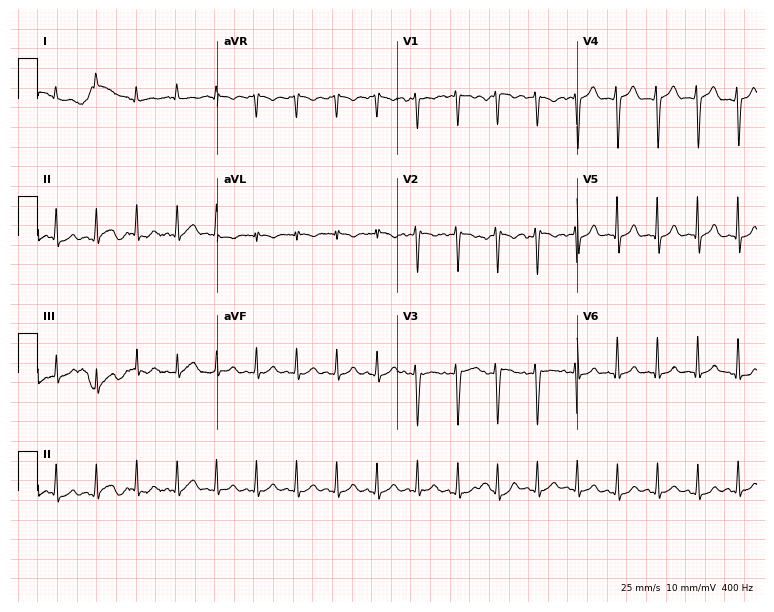
12-lead ECG from a woman, 19 years old. Shows sinus tachycardia (a sinus rate of 100 beats per minute or more).